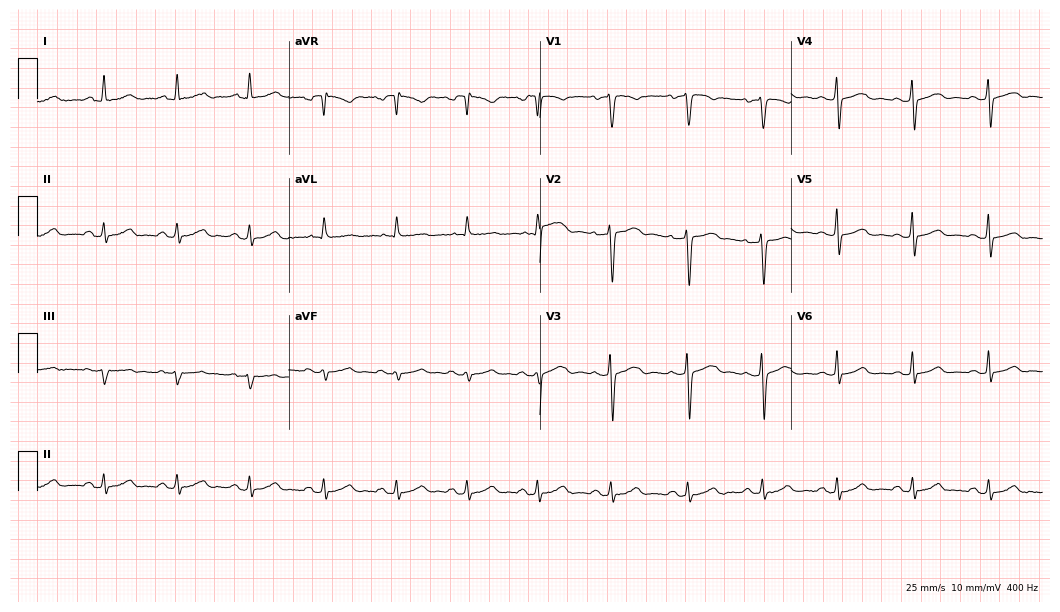
Electrocardiogram (10.2-second recording at 400 Hz), a woman, 36 years old. Overall reading on record: normal ECG.